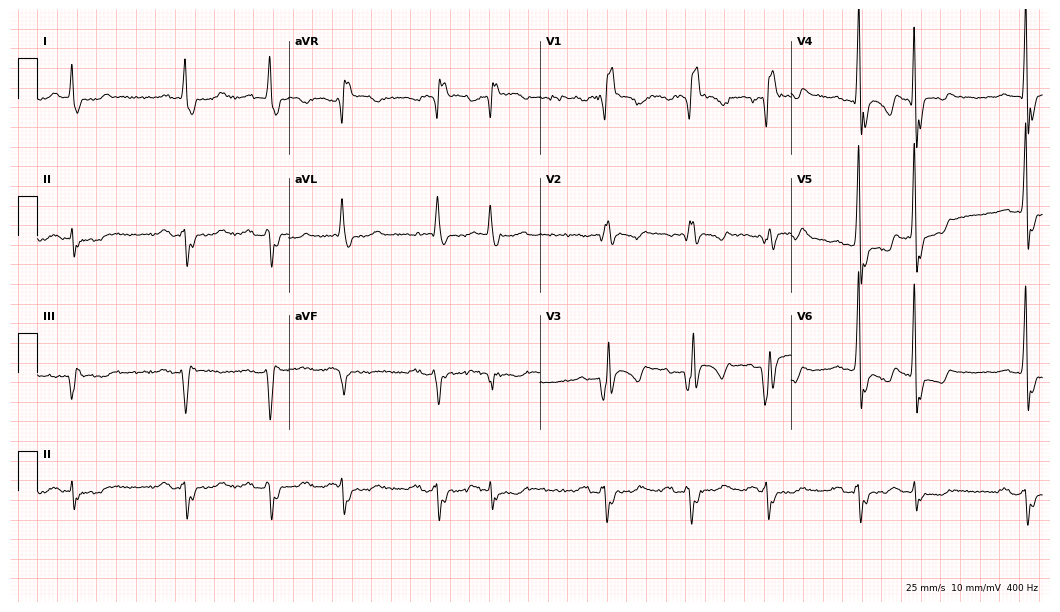
12-lead ECG from a man, 72 years old. Shows right bundle branch block, atrial fibrillation.